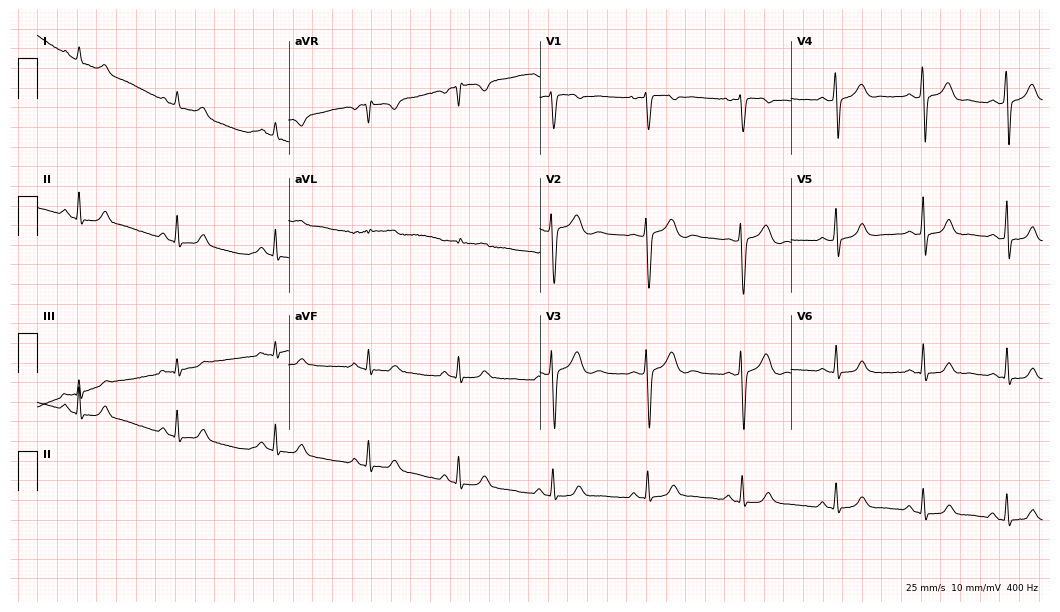
ECG — a woman, 35 years old. Labelled as a normal ECG.